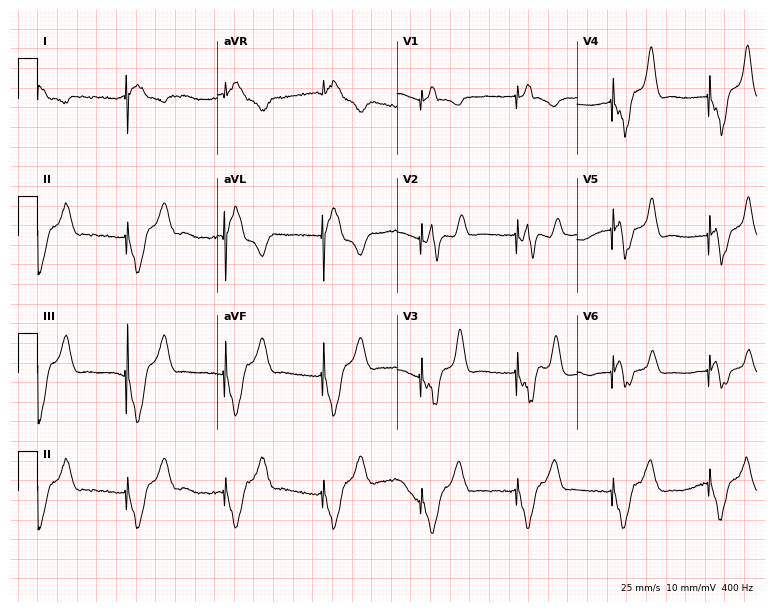
Electrocardiogram, an 82-year-old woman. Of the six screened findings (first-degree AV block, right bundle branch block, left bundle branch block, sinus bradycardia, atrial fibrillation, sinus tachycardia), none is recorded.